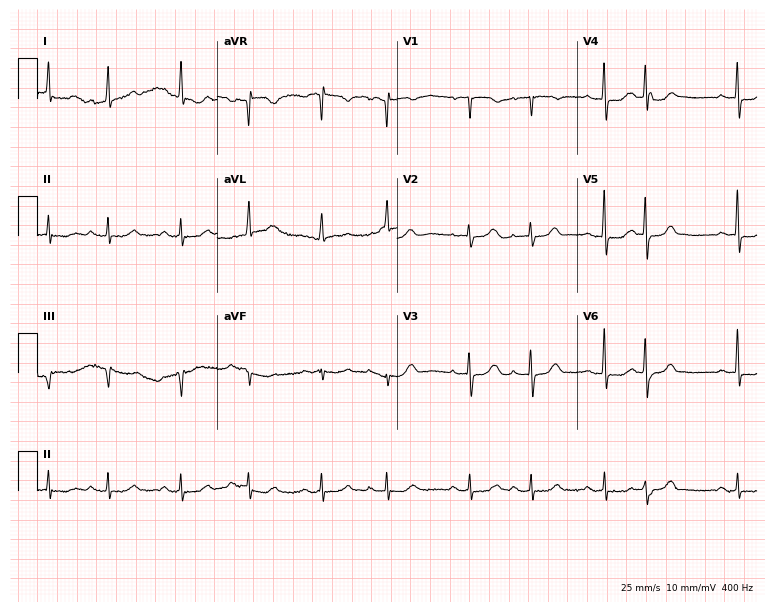
Resting 12-lead electrocardiogram (7.3-second recording at 400 Hz). Patient: an 83-year-old woman. None of these six findings is recorded: first-degree AV block, right bundle branch block, left bundle branch block, sinus bradycardia, atrial fibrillation, sinus tachycardia. Other findings, if any, are not listed.